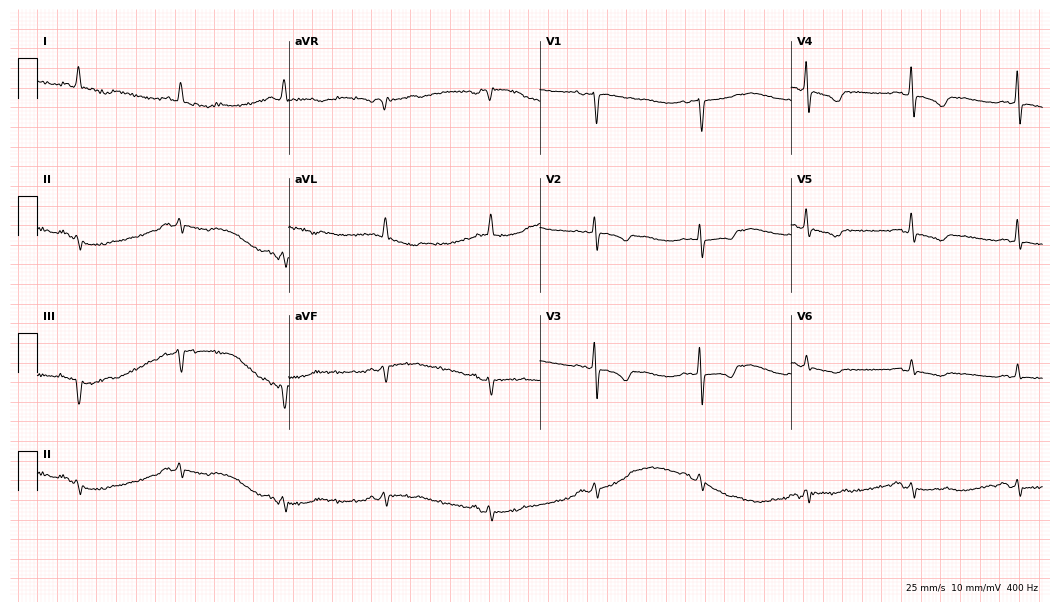
12-lead ECG (10.2-second recording at 400 Hz) from a female, 84 years old. Screened for six findings — first-degree AV block, right bundle branch block (RBBB), left bundle branch block (LBBB), sinus bradycardia, atrial fibrillation (AF), sinus tachycardia — none is recorded. Findings outside these six are not listed.